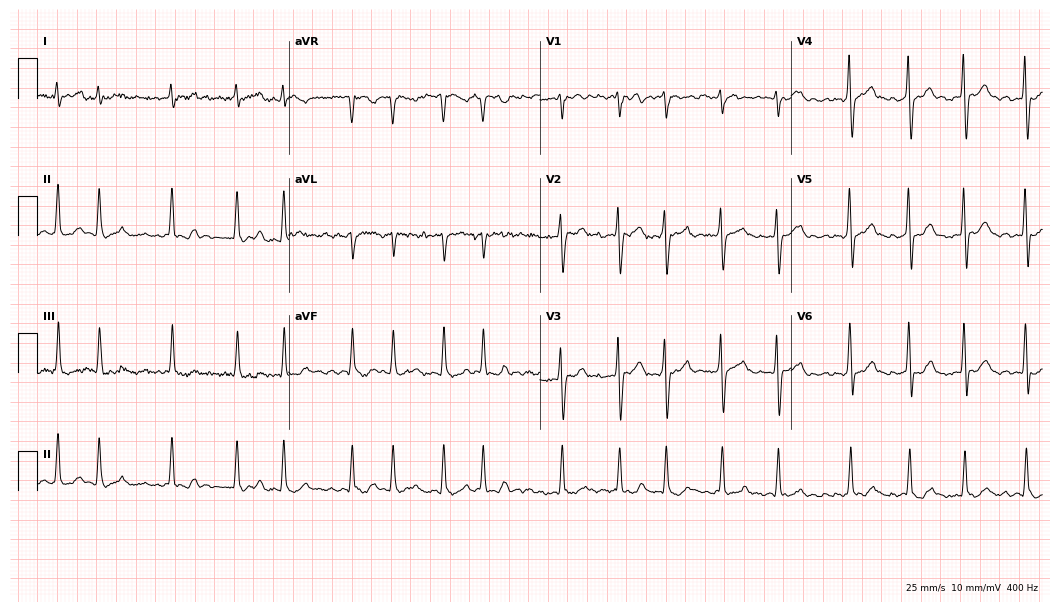
Resting 12-lead electrocardiogram (10.2-second recording at 400 Hz). Patient: a 62-year-old female. The tracing shows atrial fibrillation.